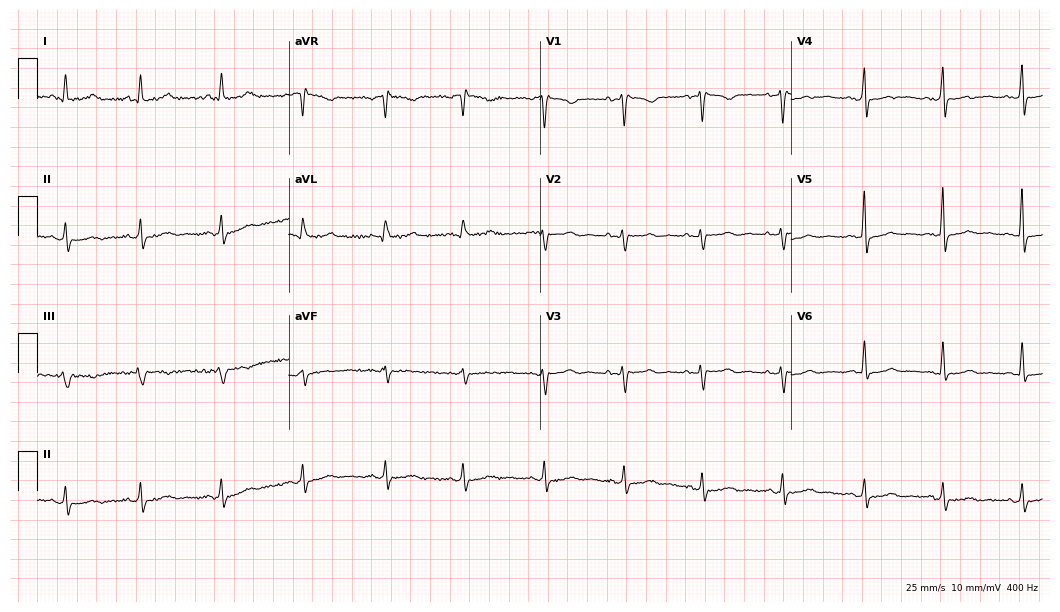
Resting 12-lead electrocardiogram. Patient: a 42-year-old female. None of these six findings is recorded: first-degree AV block, right bundle branch block, left bundle branch block, sinus bradycardia, atrial fibrillation, sinus tachycardia. Other findings, if any, are not listed.